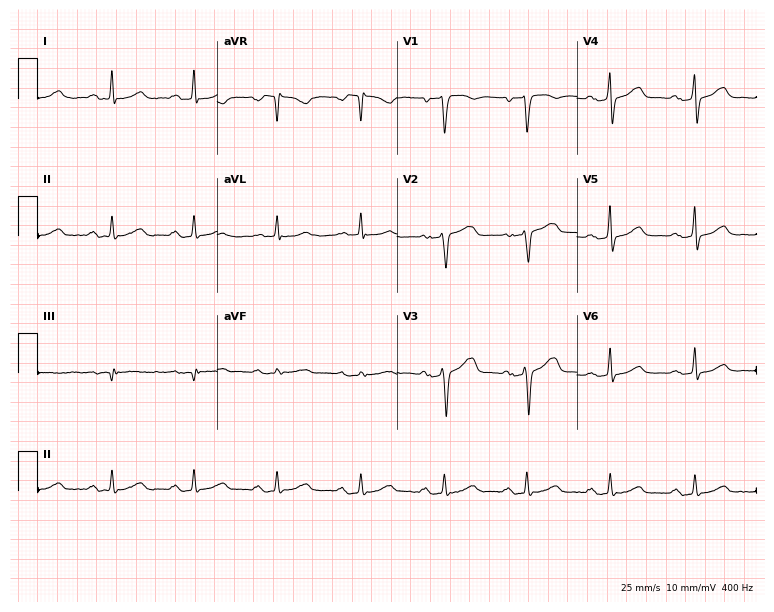
ECG (7.3-second recording at 400 Hz) — a 48-year-old female patient. Findings include first-degree AV block.